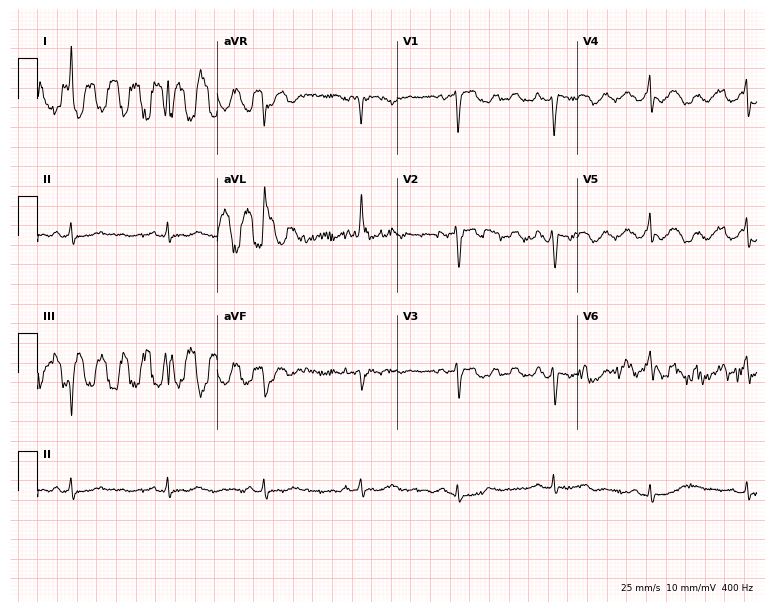
ECG (7.3-second recording at 400 Hz) — an 82-year-old female patient. Screened for six findings — first-degree AV block, right bundle branch block, left bundle branch block, sinus bradycardia, atrial fibrillation, sinus tachycardia — none is recorded. Other findings, if any, are not listed.